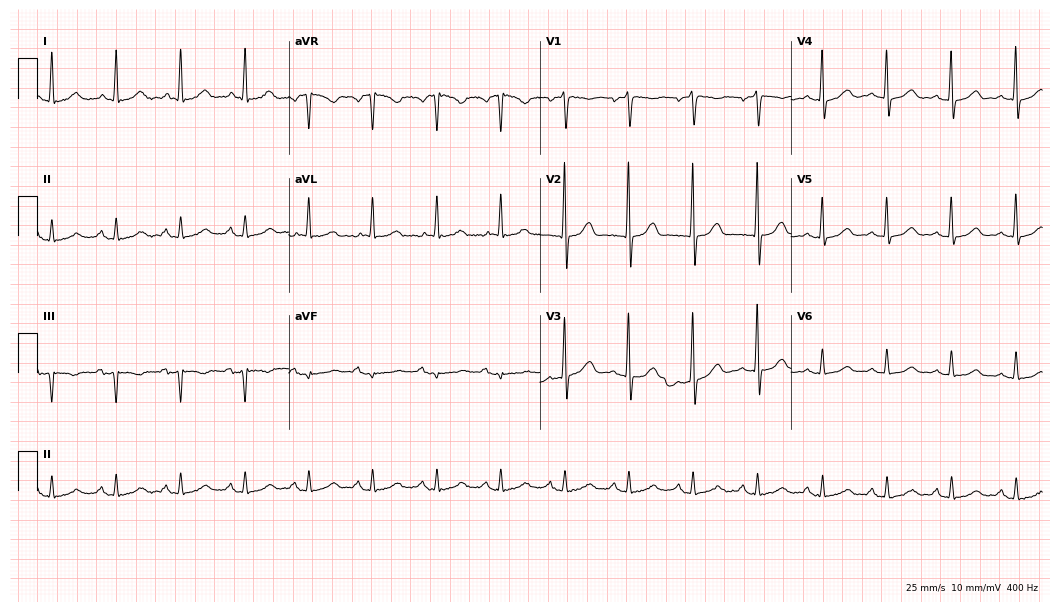
Electrocardiogram (10.2-second recording at 400 Hz), a 75-year-old female patient. Overall reading on record: normal ECG.